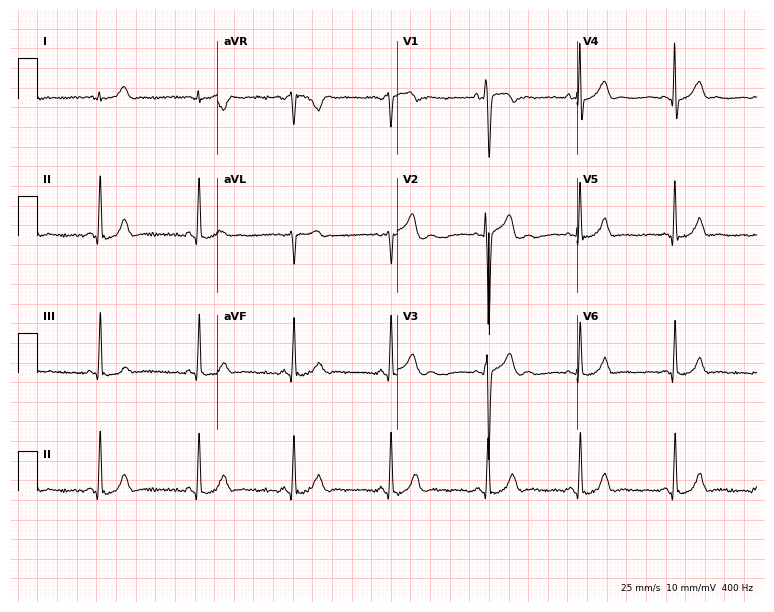
12-lead ECG from a male patient, 17 years old (7.3-second recording at 400 Hz). No first-degree AV block, right bundle branch block, left bundle branch block, sinus bradycardia, atrial fibrillation or sinus tachycardia recorded for this tracing.